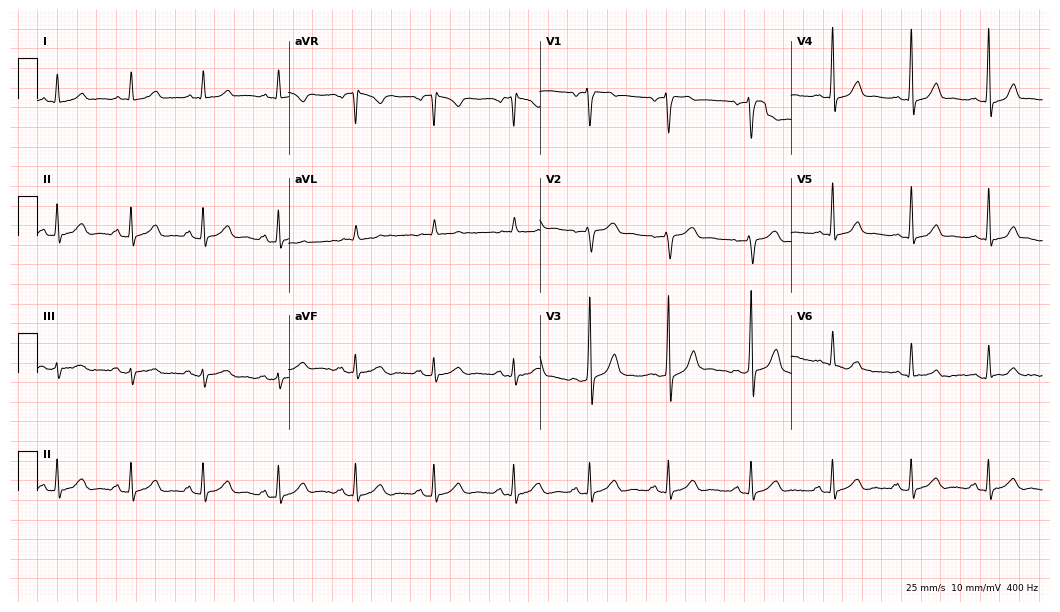
Electrocardiogram, a male patient, 30 years old. Overall reading on record: normal ECG.